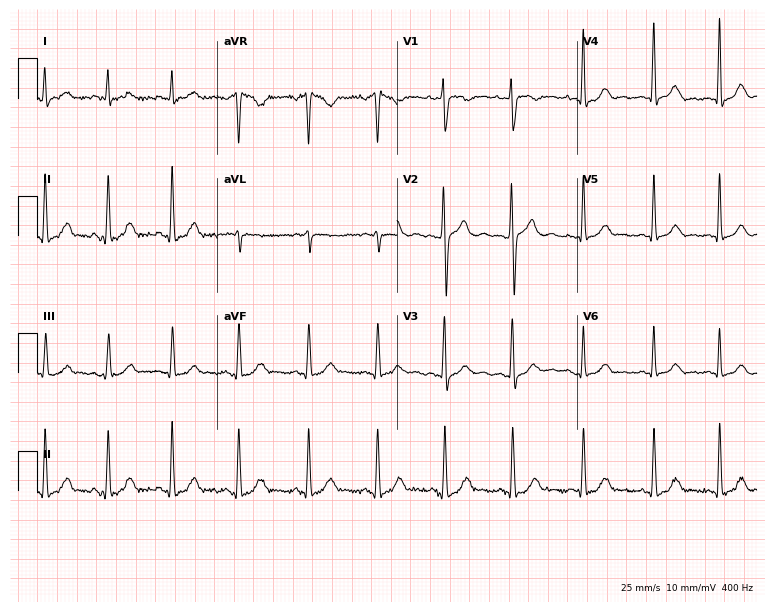
Standard 12-lead ECG recorded from a female, 22 years old (7.3-second recording at 400 Hz). None of these six findings is recorded: first-degree AV block, right bundle branch block (RBBB), left bundle branch block (LBBB), sinus bradycardia, atrial fibrillation (AF), sinus tachycardia. Findings outside these six are not listed.